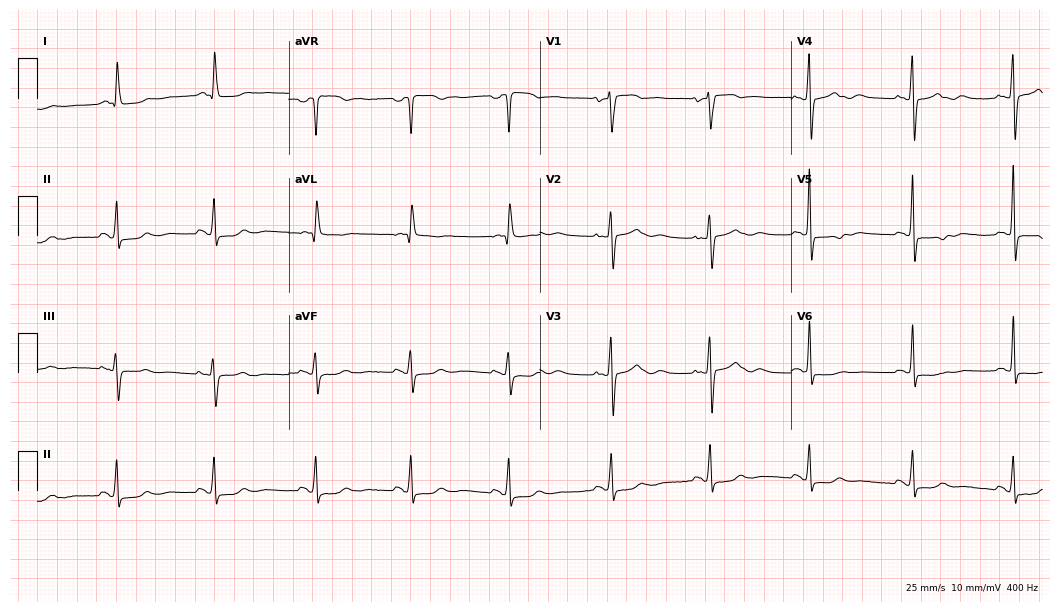
Resting 12-lead electrocardiogram (10.2-second recording at 400 Hz). Patient: a 78-year-old man. None of these six findings is recorded: first-degree AV block, right bundle branch block, left bundle branch block, sinus bradycardia, atrial fibrillation, sinus tachycardia. Only these six findings were labelled.